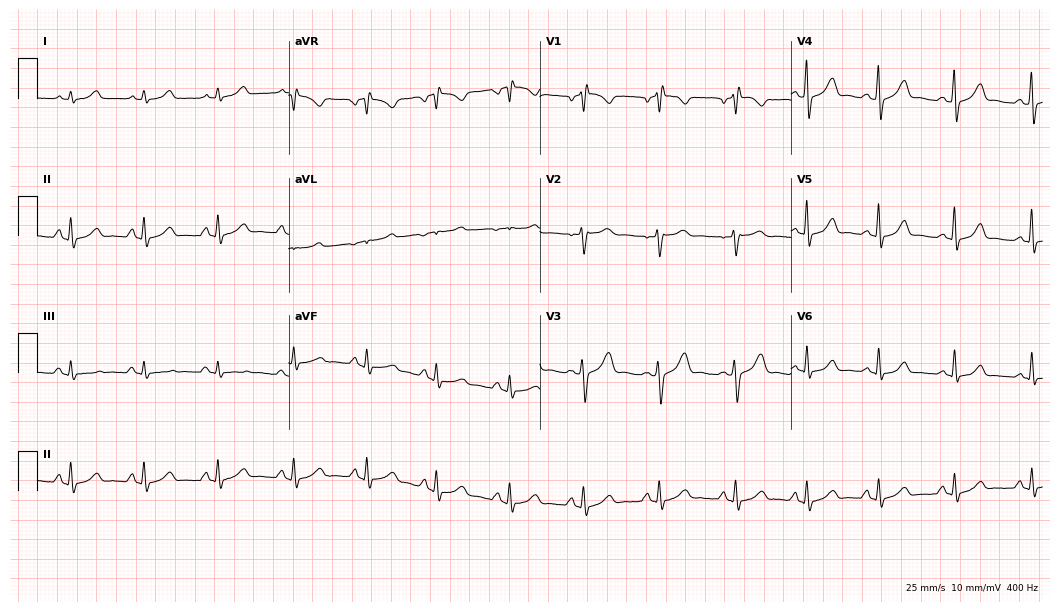
Standard 12-lead ECG recorded from a female patient, 35 years old (10.2-second recording at 400 Hz). None of these six findings is recorded: first-degree AV block, right bundle branch block, left bundle branch block, sinus bradycardia, atrial fibrillation, sinus tachycardia.